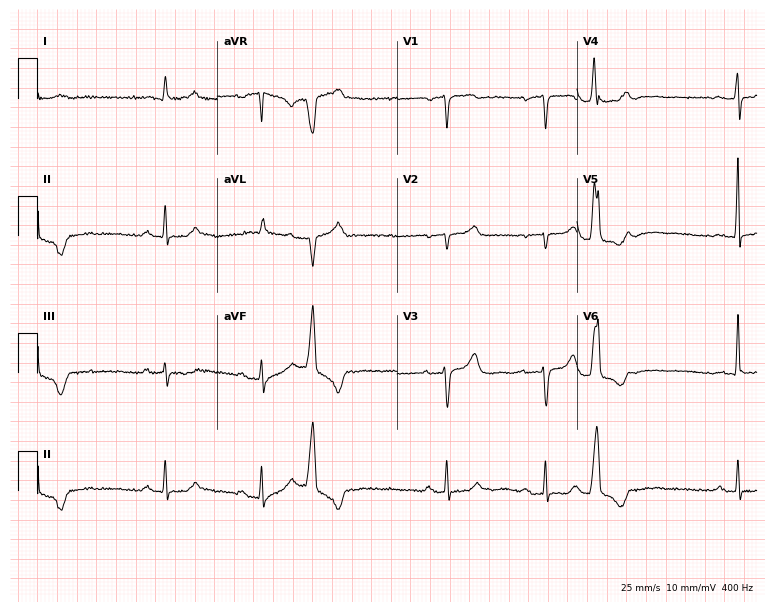
ECG — a male patient, 82 years old. Screened for six findings — first-degree AV block, right bundle branch block, left bundle branch block, sinus bradycardia, atrial fibrillation, sinus tachycardia — none is recorded.